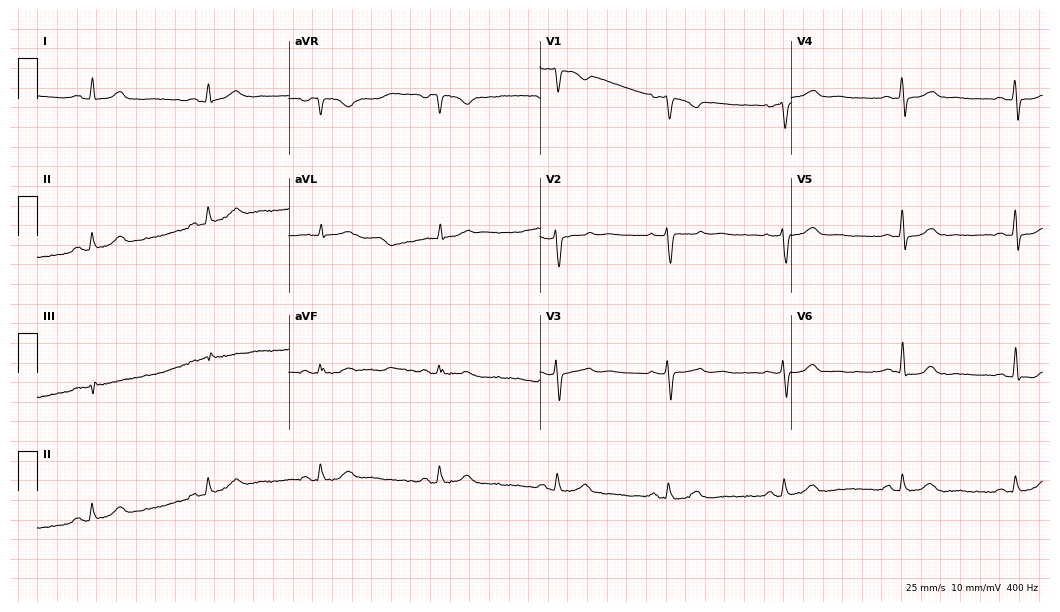
12-lead ECG from a female, 40 years old. Recorded interpretation: within normal limits.